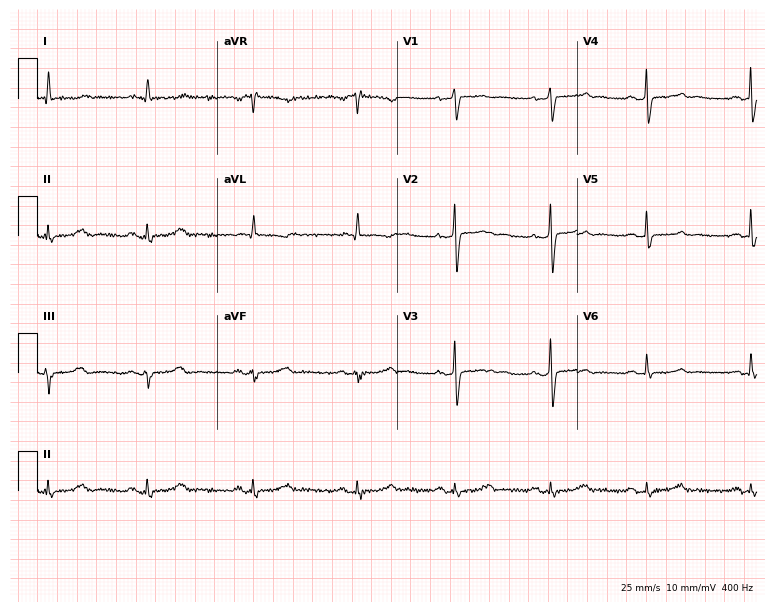
ECG (7.3-second recording at 400 Hz) — a 60-year-old female patient. Labelled as a normal ECG.